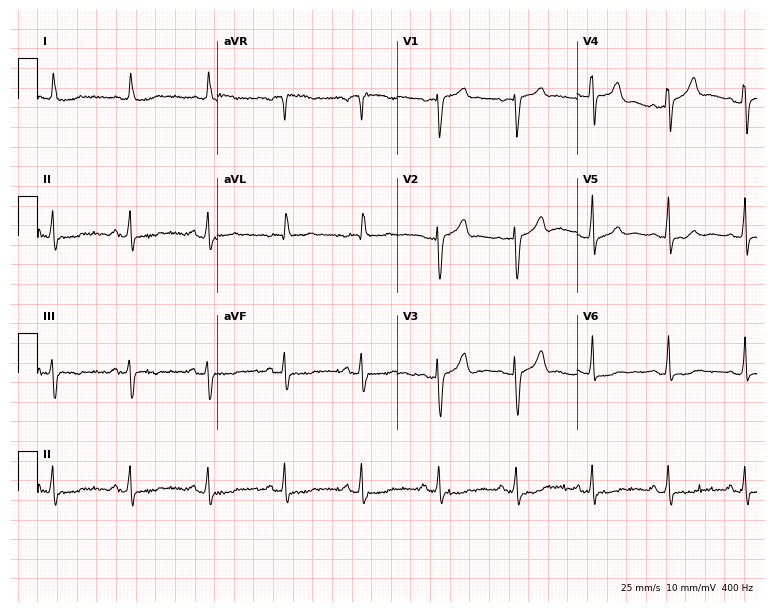
12-lead ECG from a 78-year-old female patient. No first-degree AV block, right bundle branch block, left bundle branch block, sinus bradycardia, atrial fibrillation or sinus tachycardia recorded for this tracing.